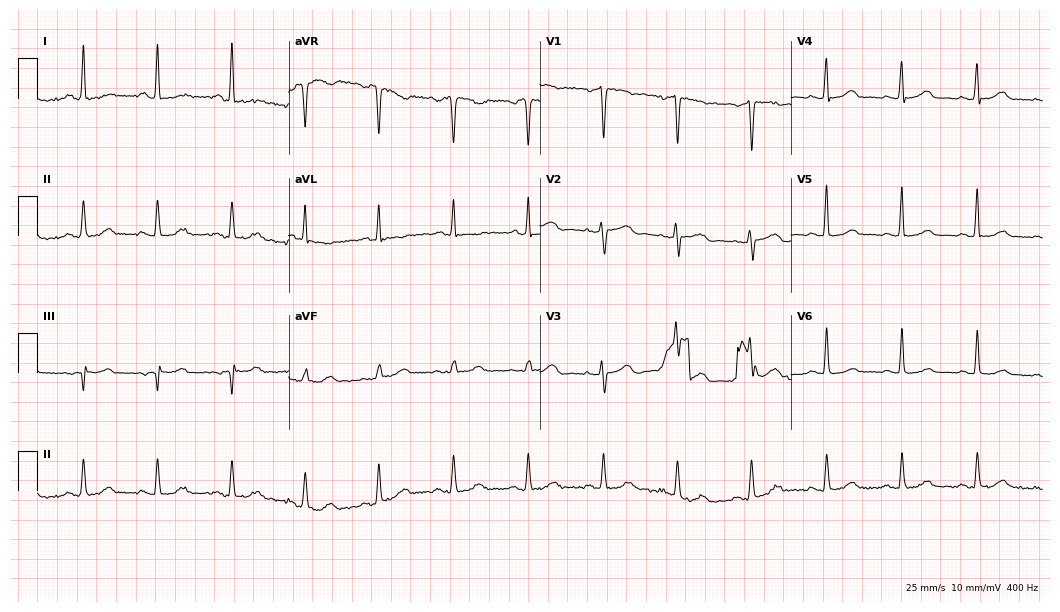
Resting 12-lead electrocardiogram (10.2-second recording at 400 Hz). Patient: a 59-year-old female. None of these six findings is recorded: first-degree AV block, right bundle branch block, left bundle branch block, sinus bradycardia, atrial fibrillation, sinus tachycardia.